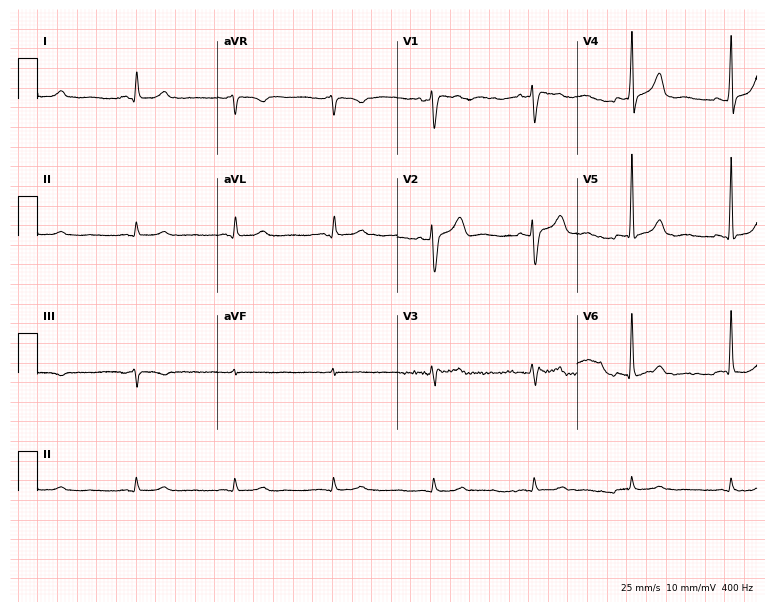
Resting 12-lead electrocardiogram (7.3-second recording at 400 Hz). Patient: a man, 64 years old. The tracing shows sinus bradycardia (a sinus rate of 50 beats per minute or less).